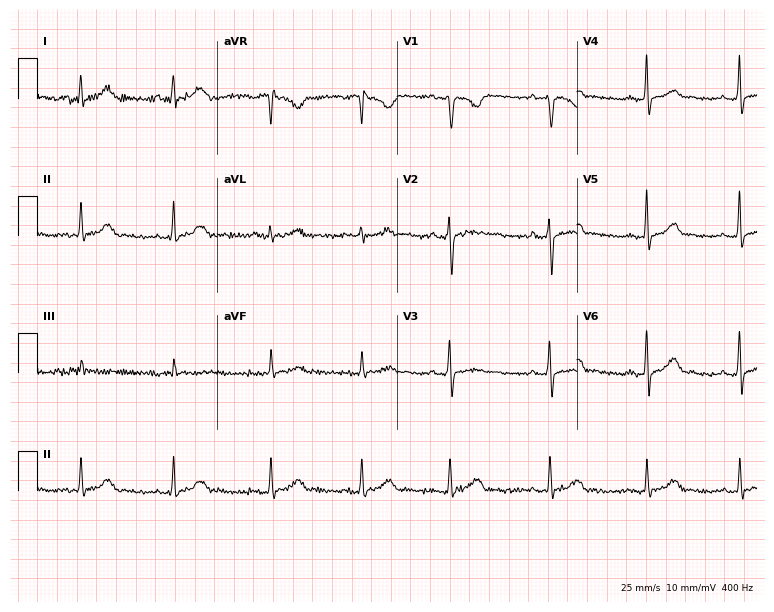
Electrocardiogram (7.3-second recording at 400 Hz), a 21-year-old female. Overall reading on record: normal ECG.